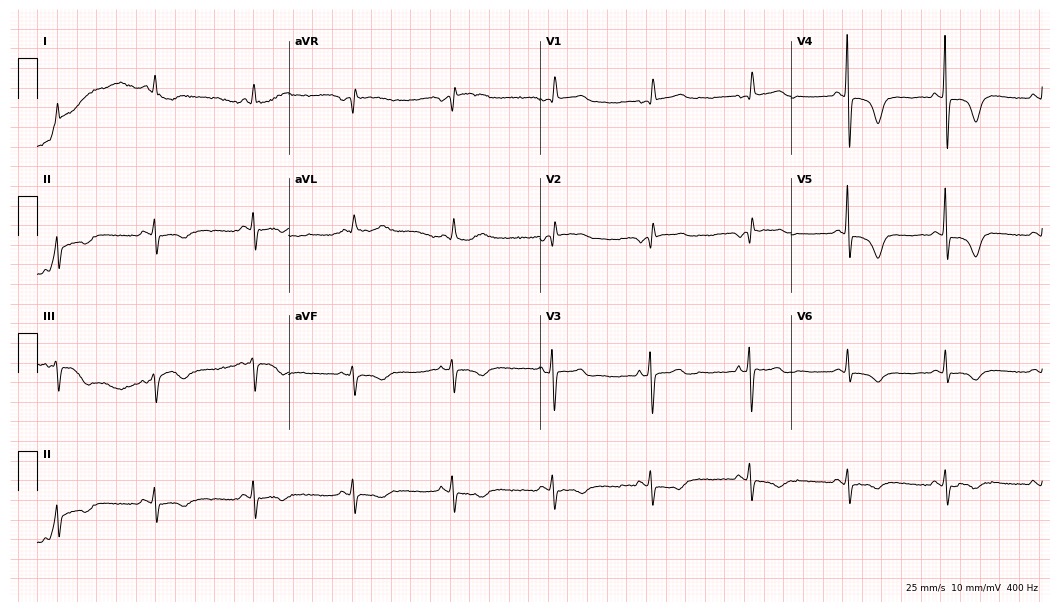
Standard 12-lead ECG recorded from a male, 69 years old. None of these six findings is recorded: first-degree AV block, right bundle branch block, left bundle branch block, sinus bradycardia, atrial fibrillation, sinus tachycardia.